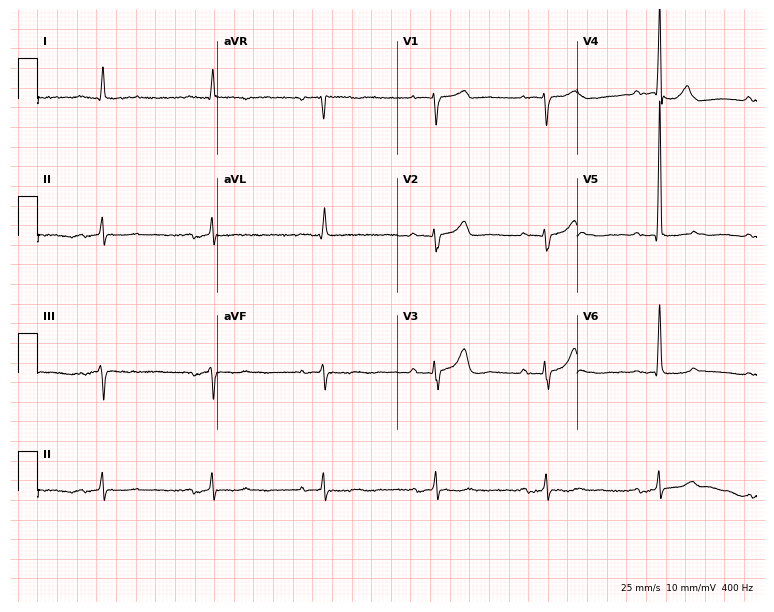
Standard 12-lead ECG recorded from an 84-year-old man. The tracing shows first-degree AV block.